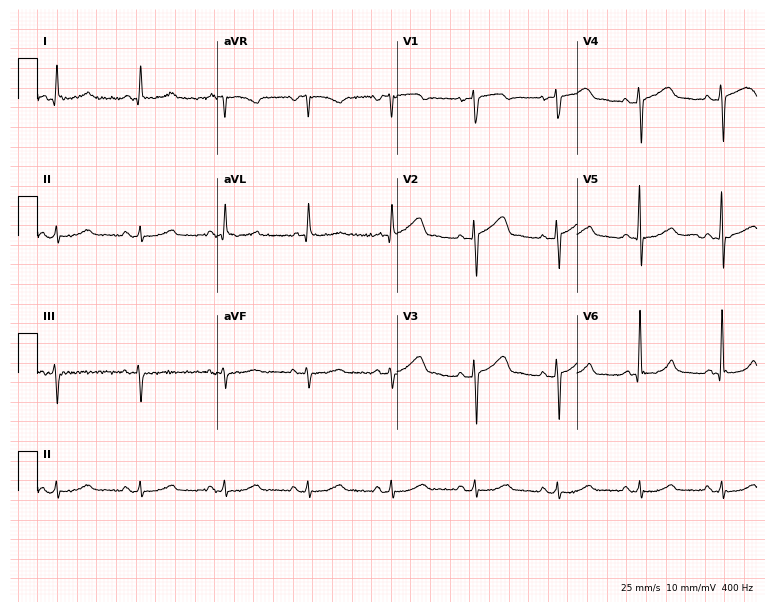
ECG (7.3-second recording at 400 Hz) — a 68-year-old woman. Labelled as a normal ECG.